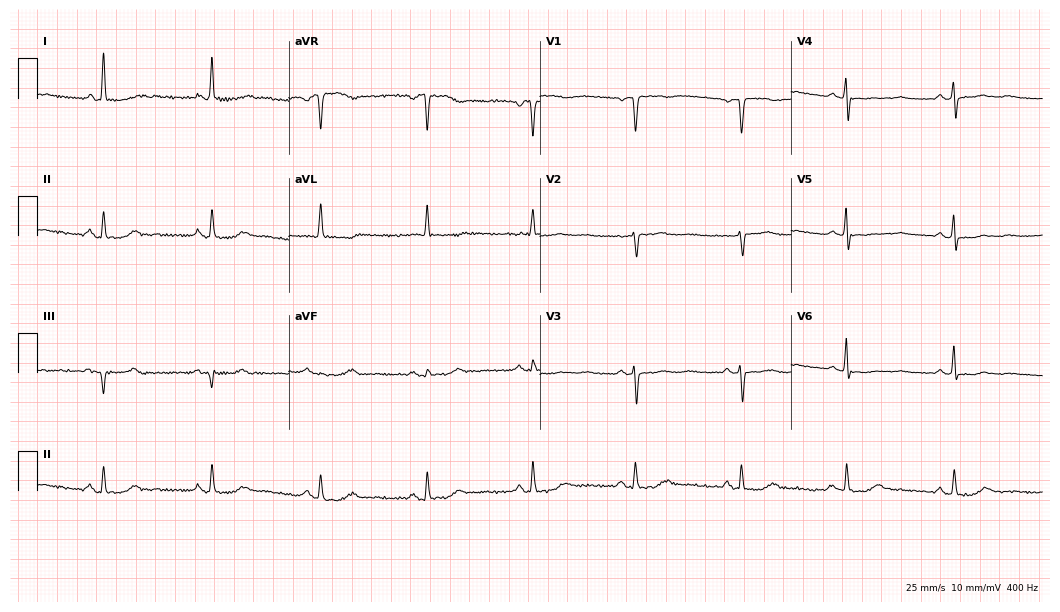
12-lead ECG from a woman, 64 years old (10.2-second recording at 400 Hz). No first-degree AV block, right bundle branch block, left bundle branch block, sinus bradycardia, atrial fibrillation or sinus tachycardia recorded for this tracing.